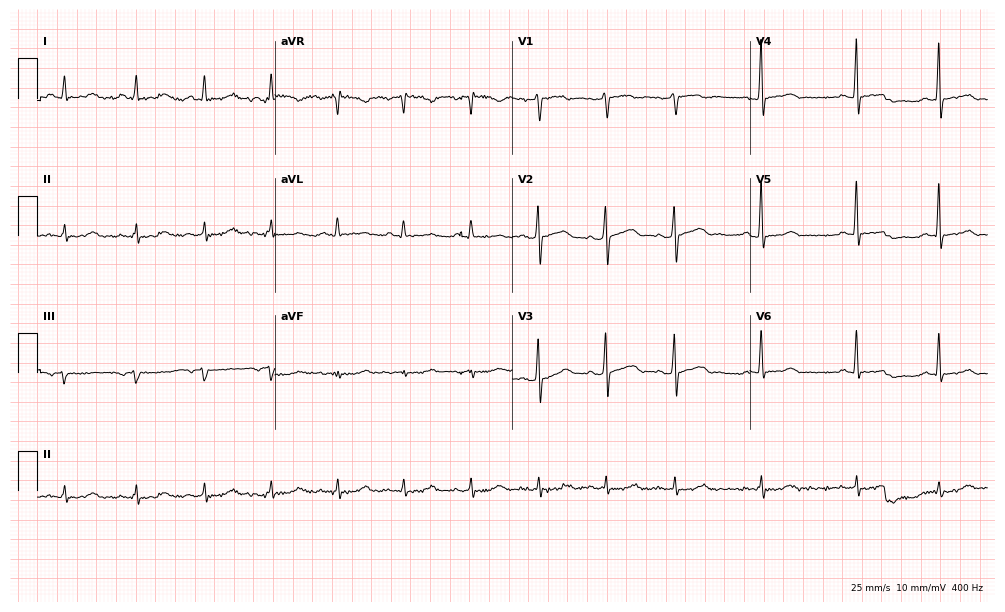
ECG — a male patient, 74 years old. Labelled as a normal ECG.